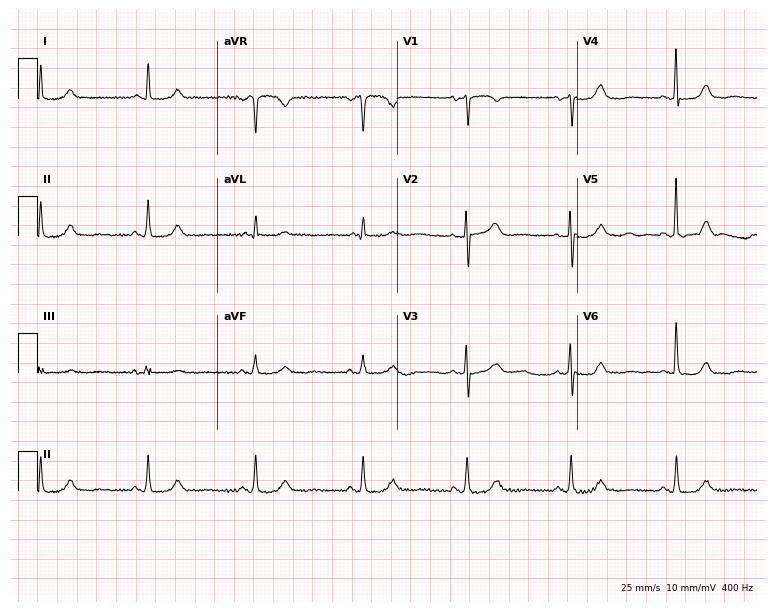
12-lead ECG from a 68-year-old female patient. Labelled as a normal ECG.